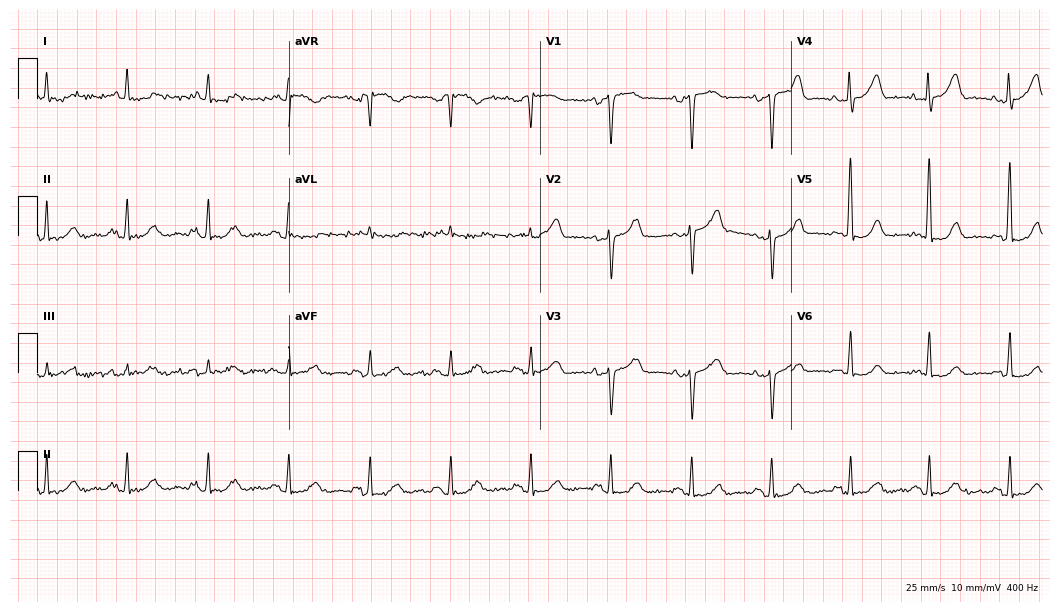
Resting 12-lead electrocardiogram (10.2-second recording at 400 Hz). Patient: a female, 74 years old. None of these six findings is recorded: first-degree AV block, right bundle branch block, left bundle branch block, sinus bradycardia, atrial fibrillation, sinus tachycardia.